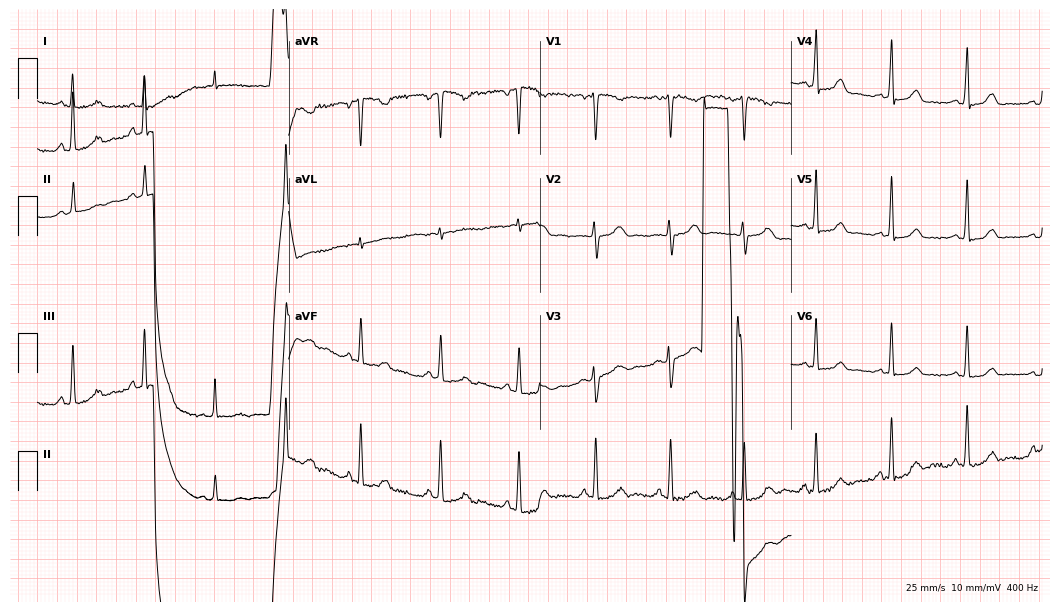
Electrocardiogram (10.2-second recording at 400 Hz), a woman, 30 years old. Of the six screened findings (first-degree AV block, right bundle branch block, left bundle branch block, sinus bradycardia, atrial fibrillation, sinus tachycardia), none is recorded. Findings outside these six are not listed.